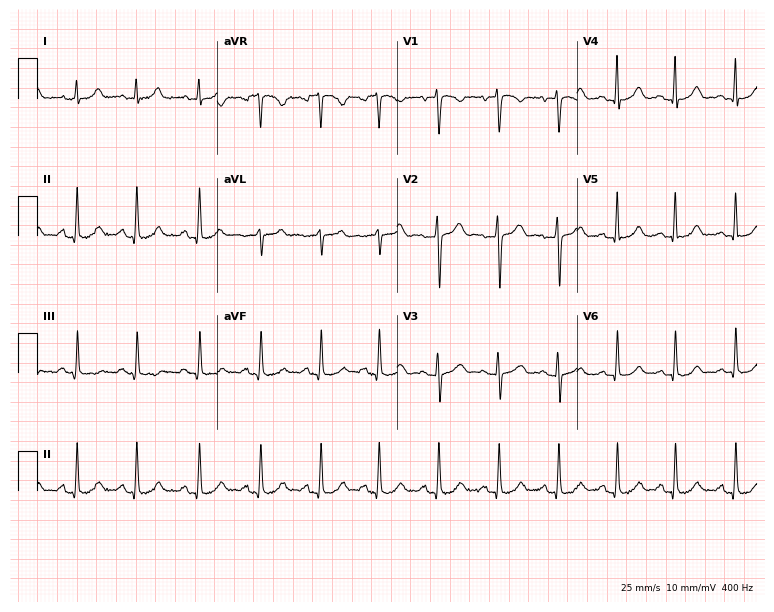
12-lead ECG from a female patient, 35 years old (7.3-second recording at 400 Hz). No first-degree AV block, right bundle branch block, left bundle branch block, sinus bradycardia, atrial fibrillation or sinus tachycardia recorded for this tracing. Only these six findings were labelled.